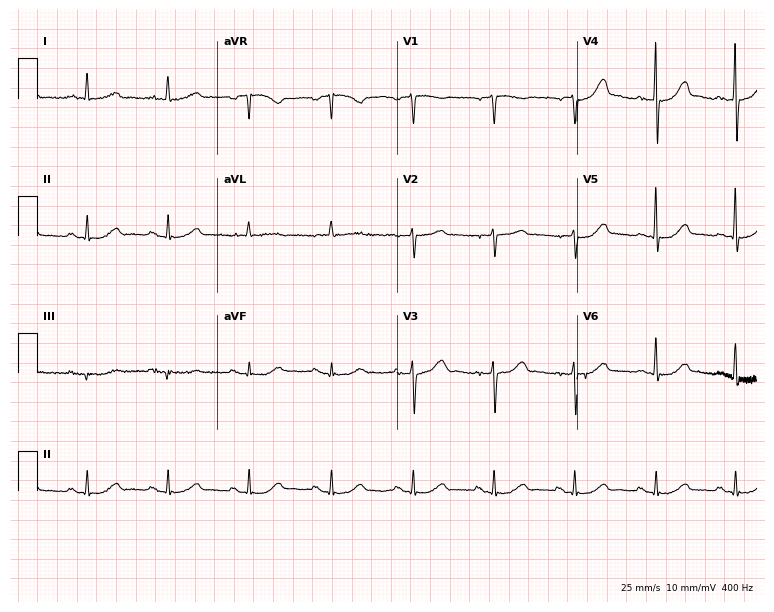
12-lead ECG (7.3-second recording at 400 Hz) from a female patient, 79 years old. Screened for six findings — first-degree AV block, right bundle branch block, left bundle branch block, sinus bradycardia, atrial fibrillation, sinus tachycardia — none is recorded. Only these six findings were labelled.